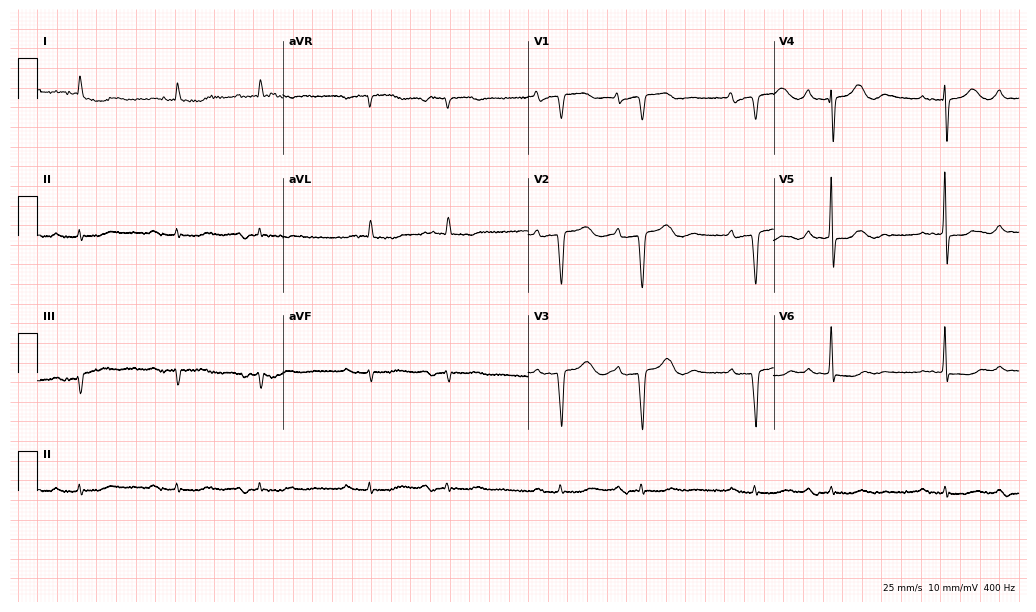
Electrocardiogram (10-second recording at 400 Hz), a female patient, 78 years old. Interpretation includes first-degree AV block.